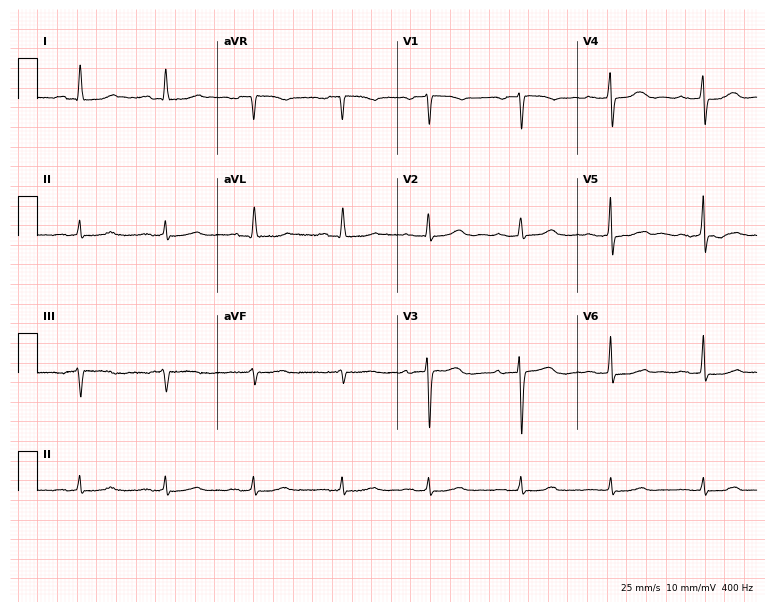
Standard 12-lead ECG recorded from a 62-year-old female patient. Read as a normal ECG.